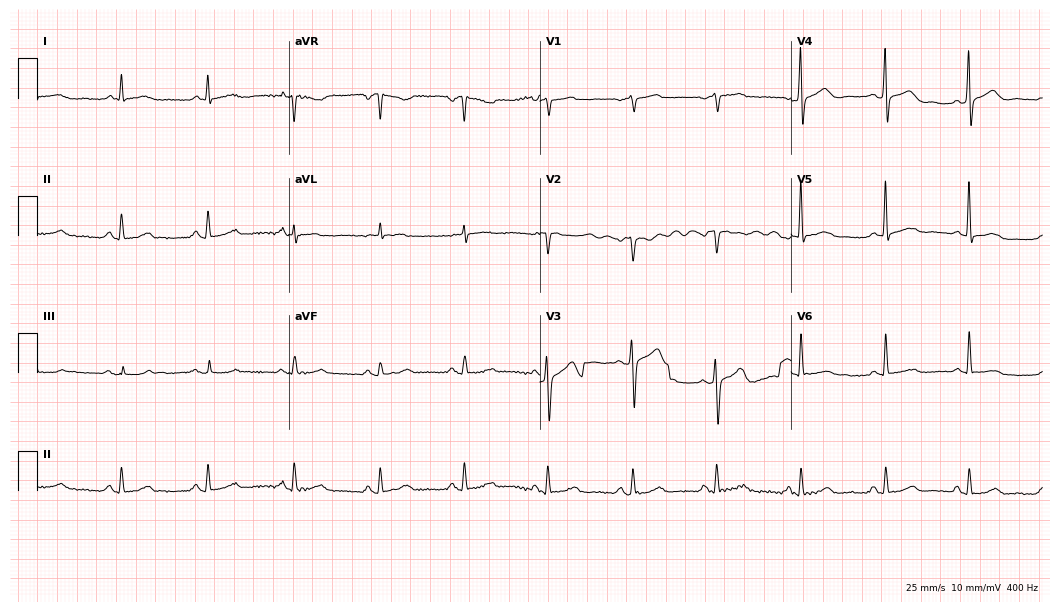
ECG (10.2-second recording at 400 Hz) — a 66-year-old man. Screened for six findings — first-degree AV block, right bundle branch block, left bundle branch block, sinus bradycardia, atrial fibrillation, sinus tachycardia — none is recorded. Findings outside these six are not listed.